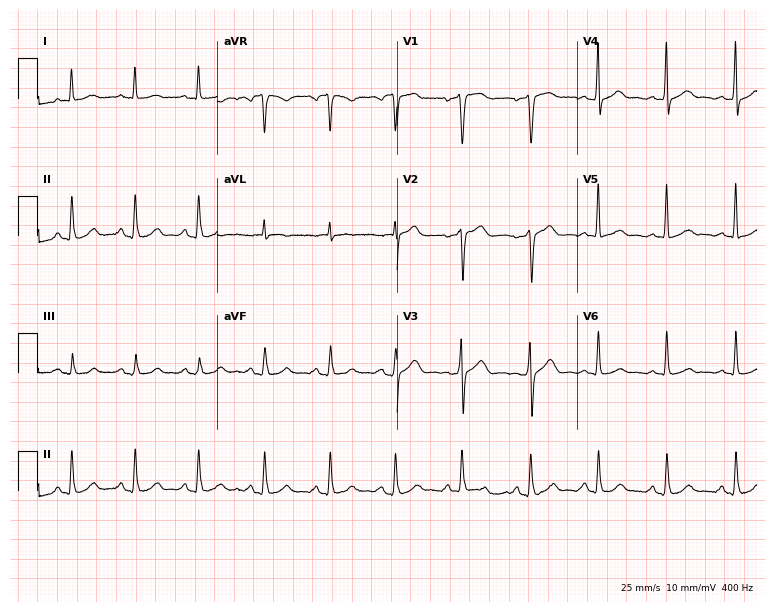
12-lead ECG from a male patient, 54 years old. Labelled as a normal ECG.